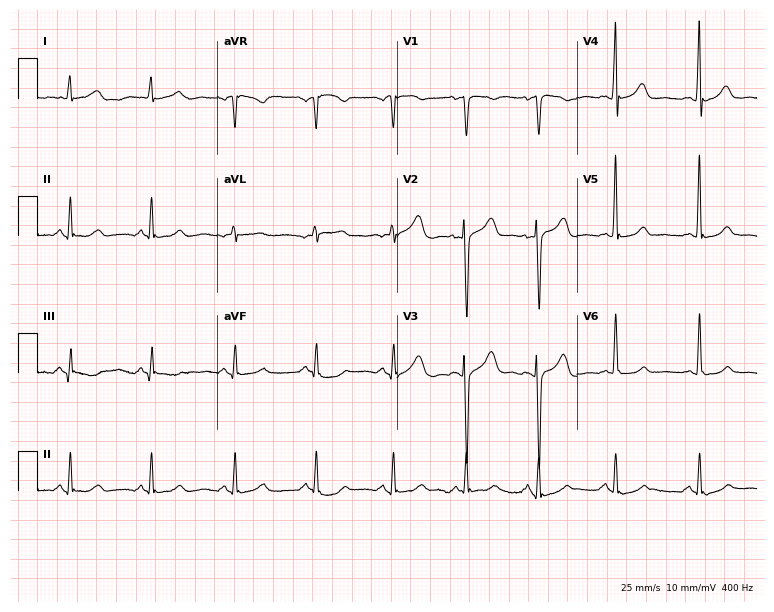
Standard 12-lead ECG recorded from a 53-year-old male. Read as a normal ECG.